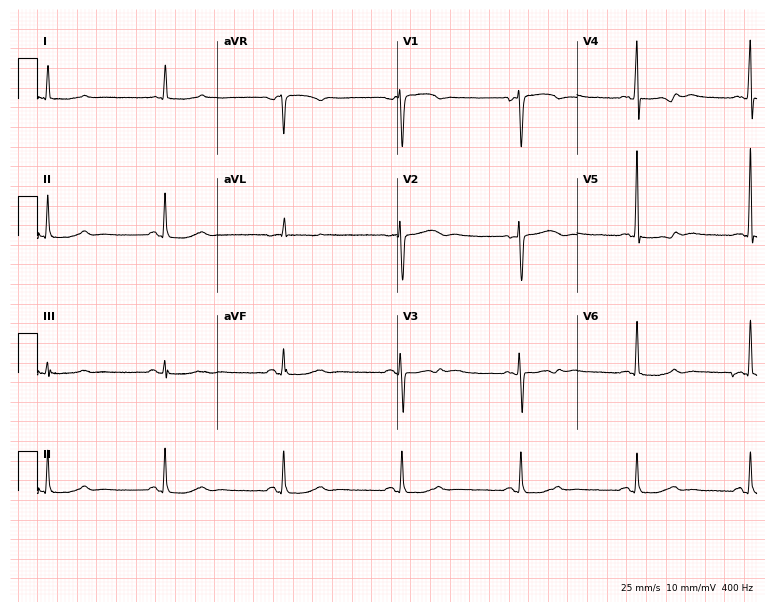
Resting 12-lead electrocardiogram (7.3-second recording at 400 Hz). Patient: a woman, 63 years old. None of these six findings is recorded: first-degree AV block, right bundle branch block, left bundle branch block, sinus bradycardia, atrial fibrillation, sinus tachycardia.